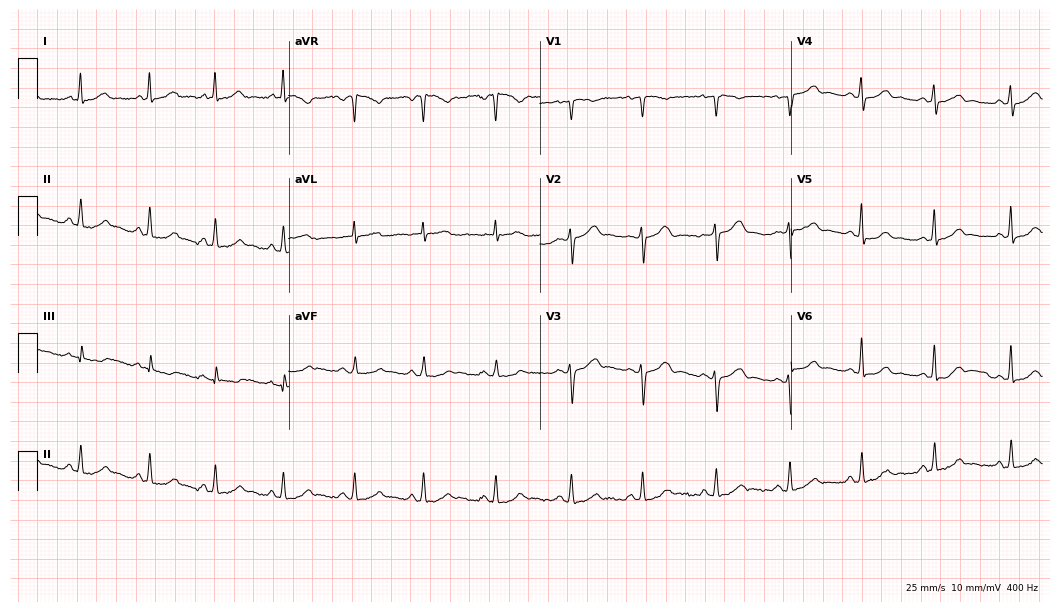
Resting 12-lead electrocardiogram (10.2-second recording at 400 Hz). Patient: a 39-year-old female. Read as a normal ECG.